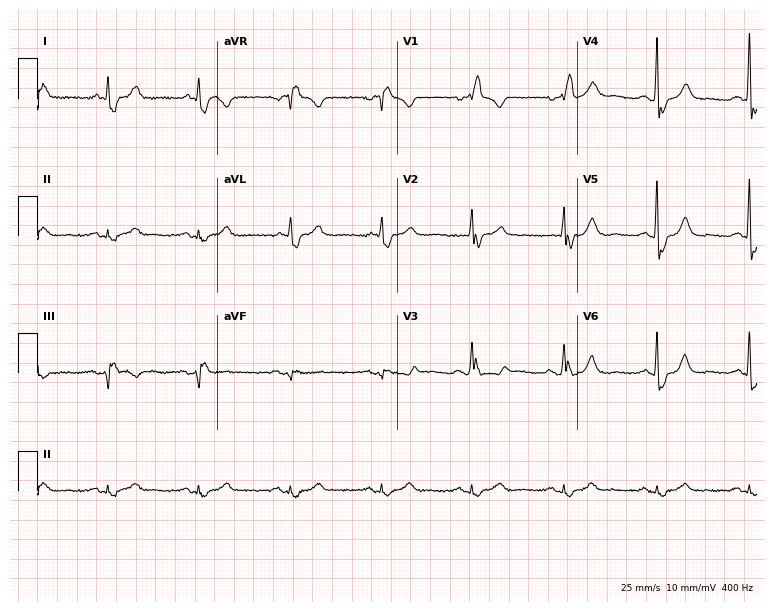
Electrocardiogram, a man, 63 years old. Interpretation includes right bundle branch block (RBBB).